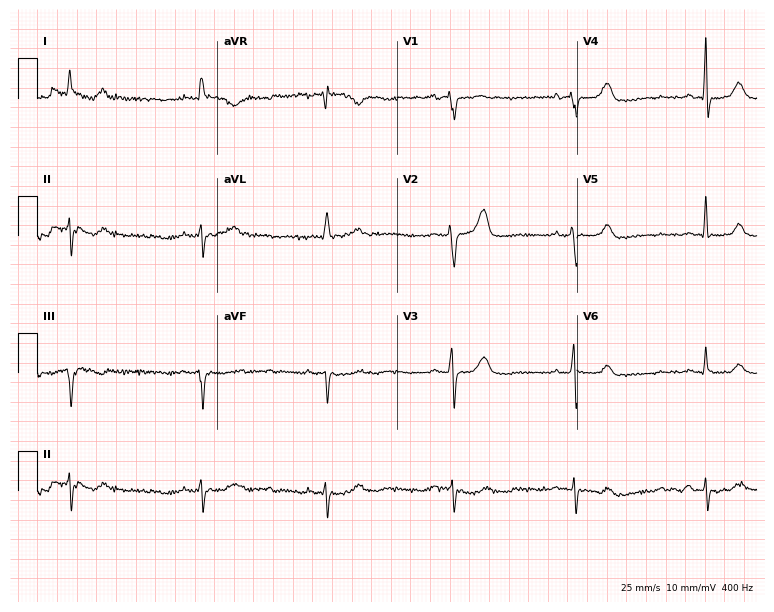
Standard 12-lead ECG recorded from a 77-year-old woman. The tracing shows sinus bradycardia (a sinus rate of 50 beats per minute or less).